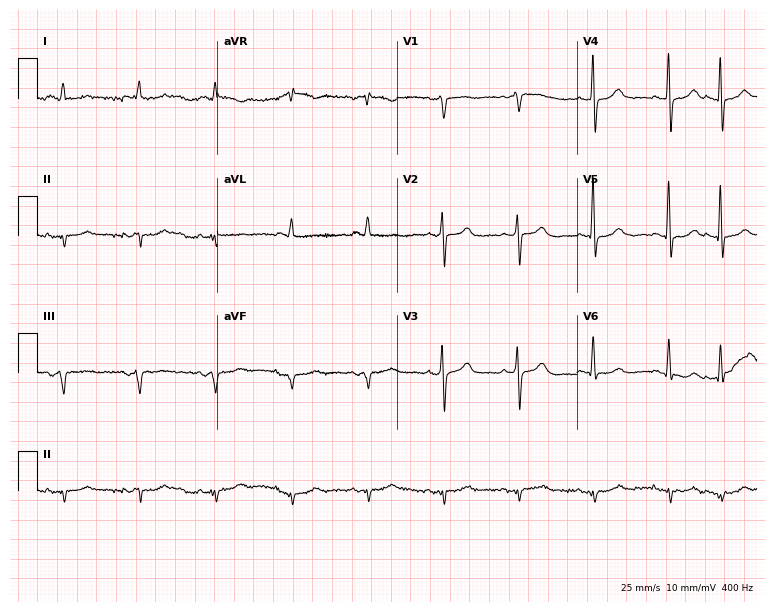
ECG (7.3-second recording at 400 Hz) — a man, 79 years old. Screened for six findings — first-degree AV block, right bundle branch block, left bundle branch block, sinus bradycardia, atrial fibrillation, sinus tachycardia — none is recorded.